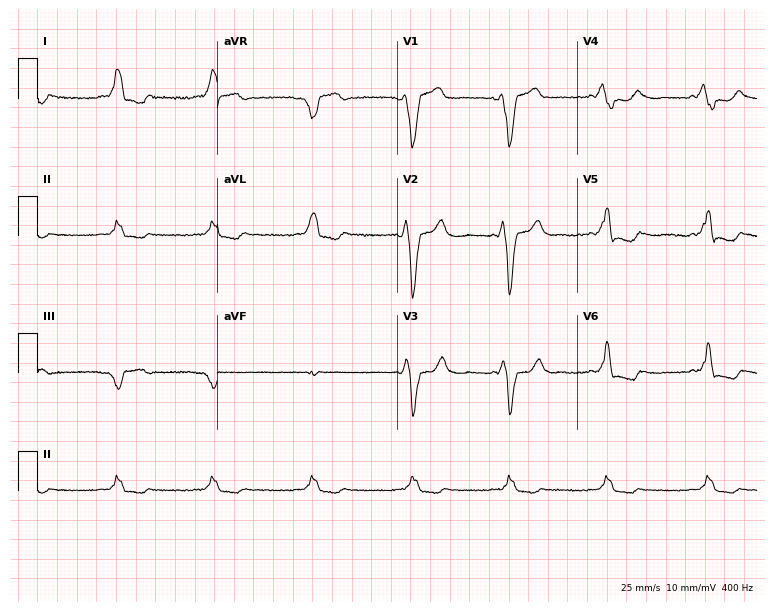
ECG (7.3-second recording at 400 Hz) — a 55-year-old female. Findings include left bundle branch block (LBBB).